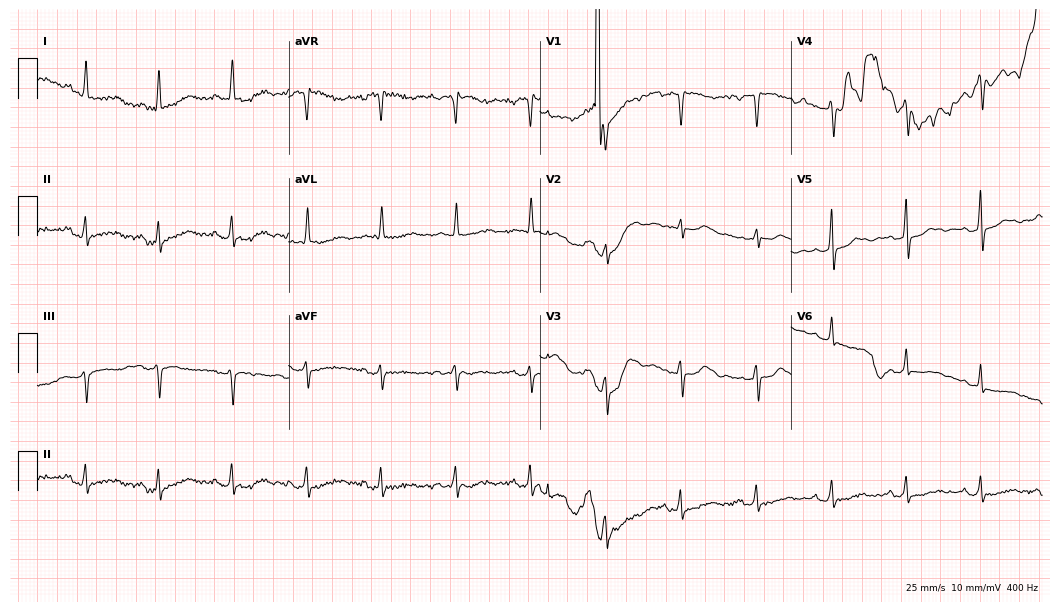
12-lead ECG (10.2-second recording at 400 Hz) from a 58-year-old female. Screened for six findings — first-degree AV block, right bundle branch block, left bundle branch block, sinus bradycardia, atrial fibrillation, sinus tachycardia — none is recorded.